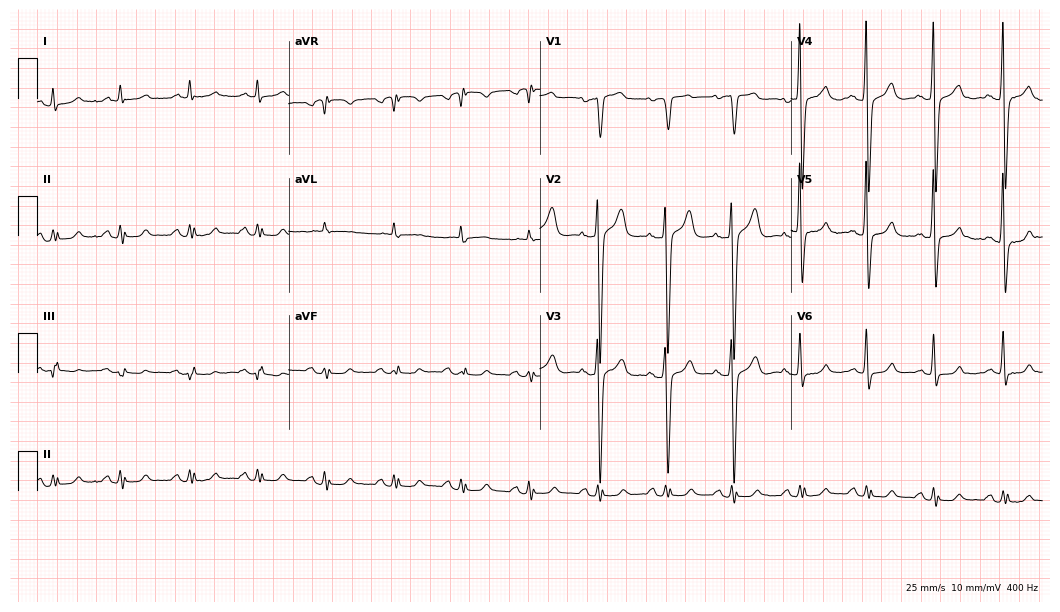
Electrocardiogram, an 83-year-old male patient. Of the six screened findings (first-degree AV block, right bundle branch block (RBBB), left bundle branch block (LBBB), sinus bradycardia, atrial fibrillation (AF), sinus tachycardia), none is recorded. Only these six findings were labelled.